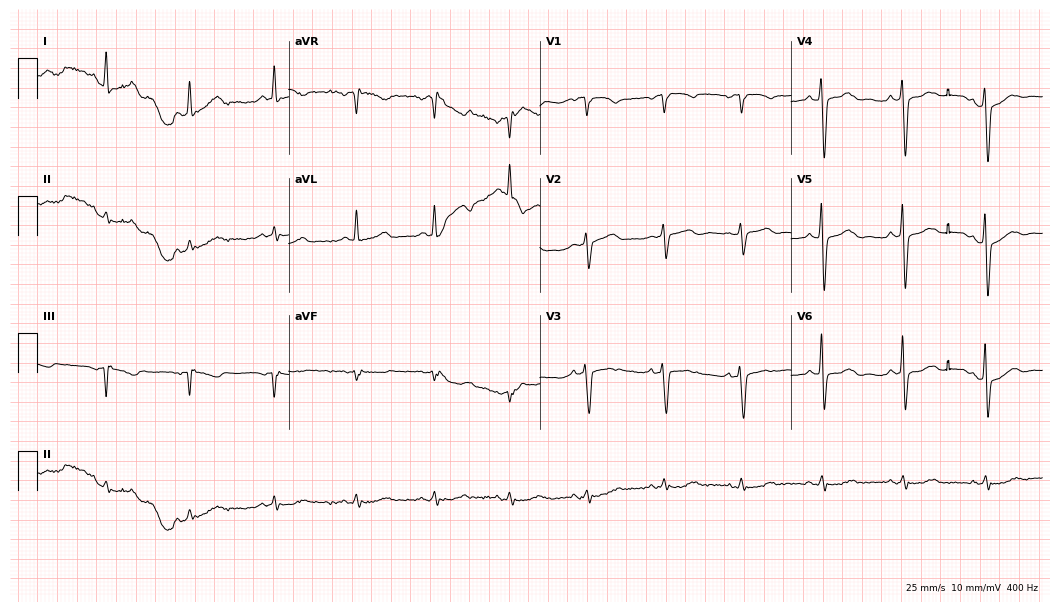
Electrocardiogram (10.2-second recording at 400 Hz), a male, 65 years old. Of the six screened findings (first-degree AV block, right bundle branch block, left bundle branch block, sinus bradycardia, atrial fibrillation, sinus tachycardia), none is recorded. Findings outside these six are not listed.